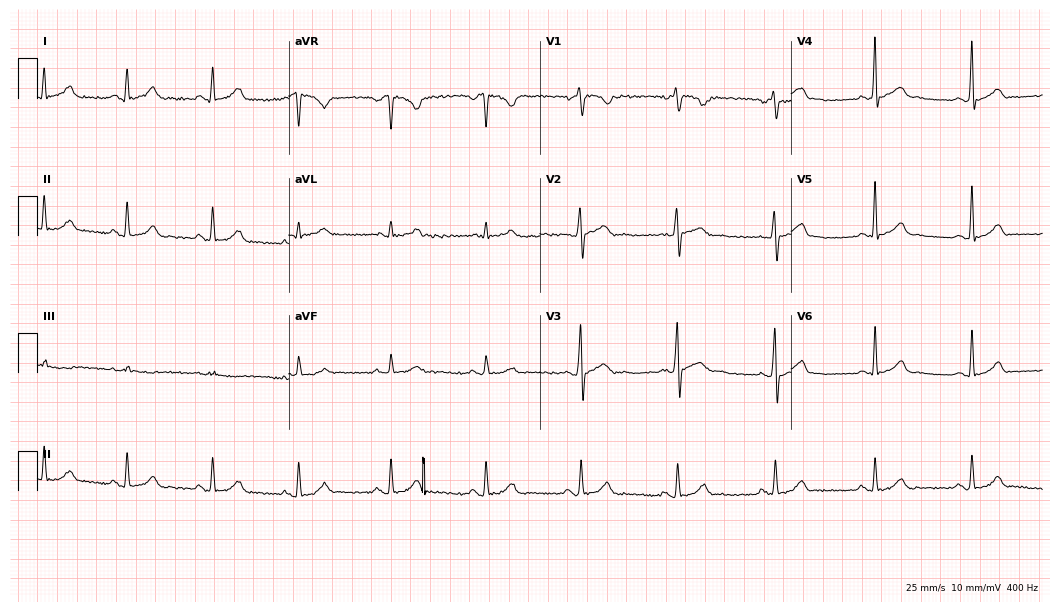
ECG (10.2-second recording at 400 Hz) — a man, 29 years old. Labelled as a normal ECG.